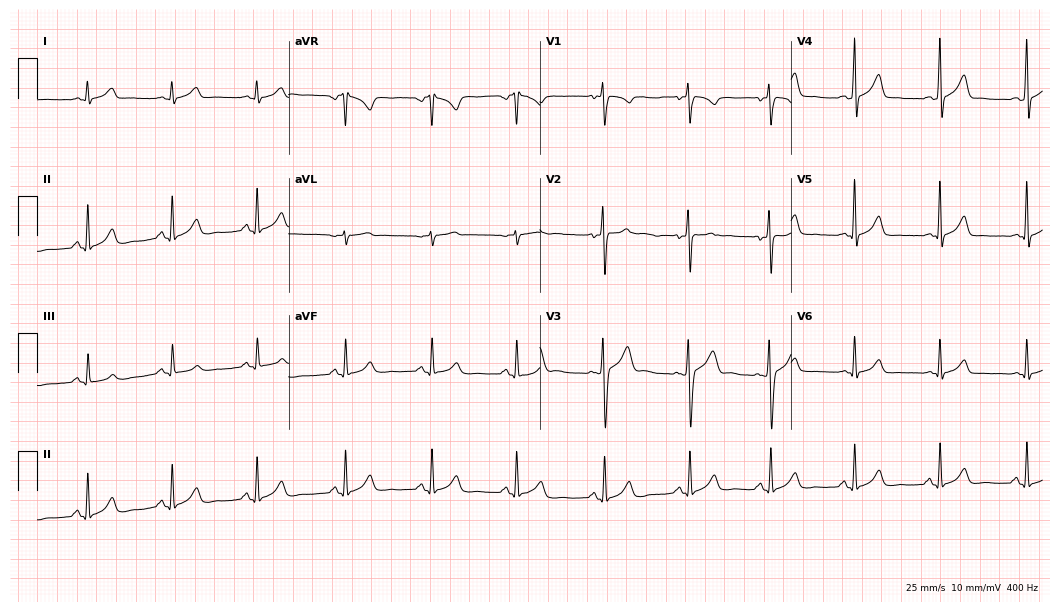
Resting 12-lead electrocardiogram. Patient: a male, 24 years old. Read as a normal ECG.